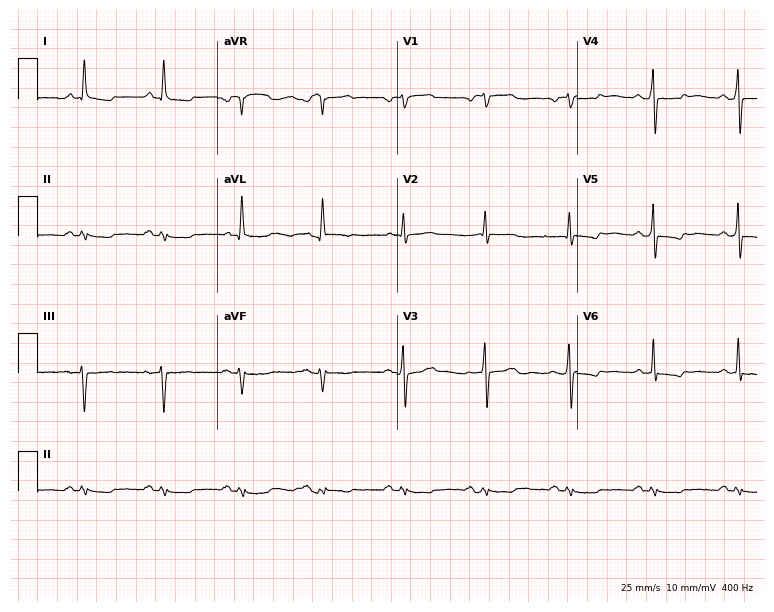
Standard 12-lead ECG recorded from an 80-year-old male patient. None of these six findings is recorded: first-degree AV block, right bundle branch block (RBBB), left bundle branch block (LBBB), sinus bradycardia, atrial fibrillation (AF), sinus tachycardia. Other findings, if any, are not listed.